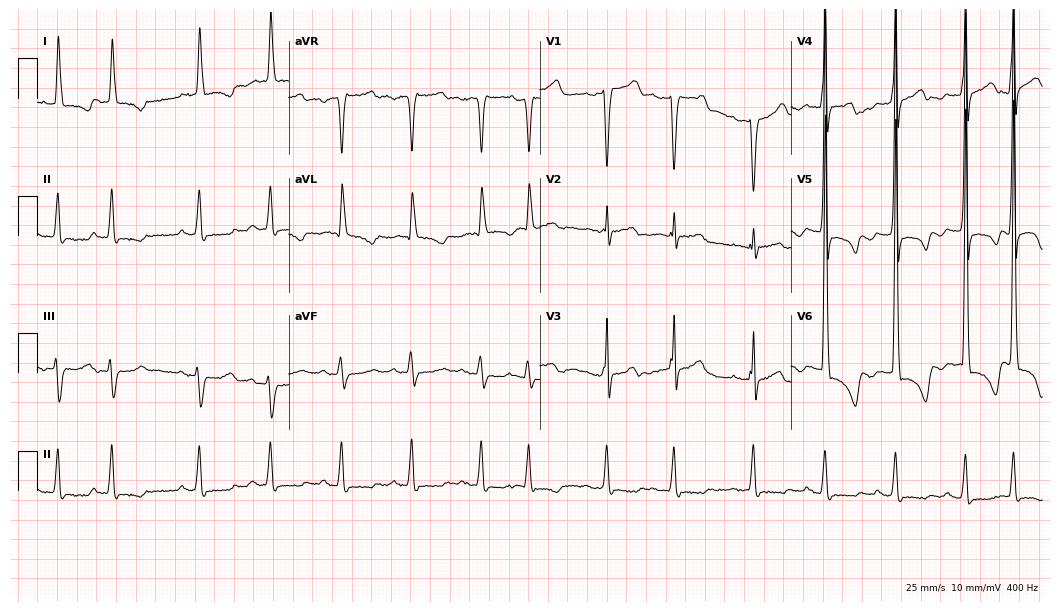
Resting 12-lead electrocardiogram (10.2-second recording at 400 Hz). Patient: an 85-year-old man. None of these six findings is recorded: first-degree AV block, right bundle branch block, left bundle branch block, sinus bradycardia, atrial fibrillation, sinus tachycardia.